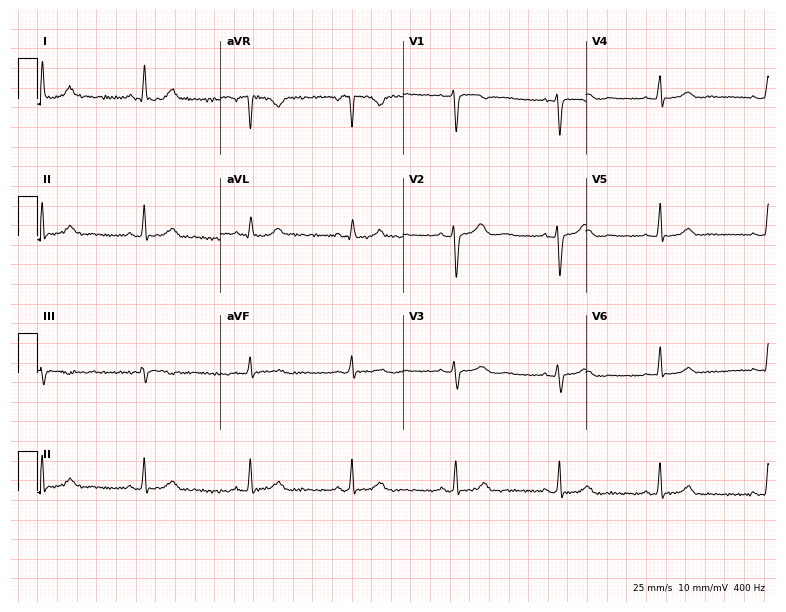
12-lead ECG from a female patient, 38 years old (7.5-second recording at 400 Hz). Recorded interpretation: within normal limits.